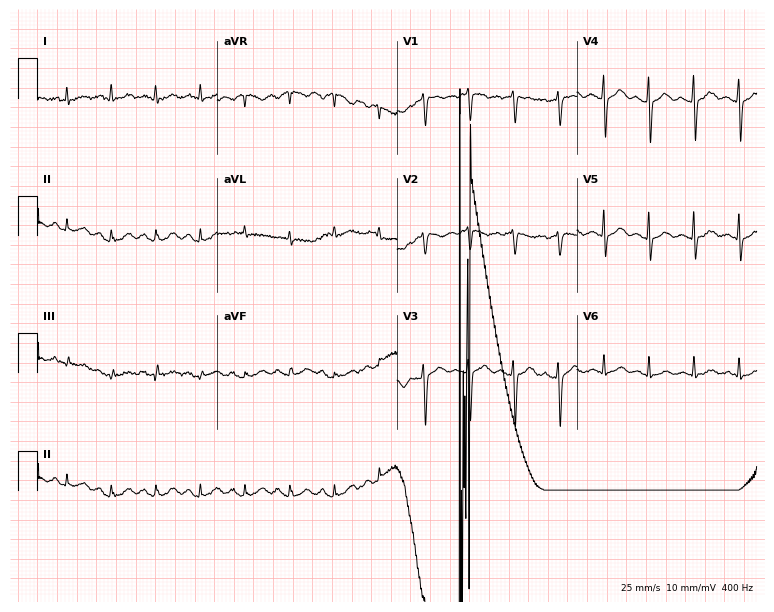
Standard 12-lead ECG recorded from a male, 46 years old. The tracing shows sinus tachycardia (a sinus rate of 100 beats per minute or more).